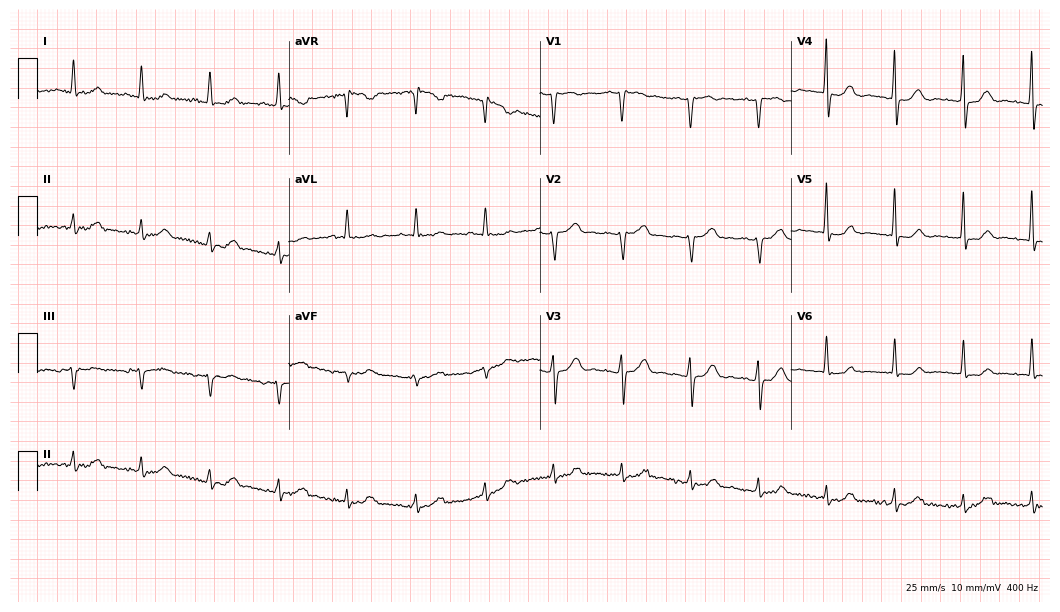
ECG (10.2-second recording at 400 Hz) — a 63-year-old female patient. Screened for six findings — first-degree AV block, right bundle branch block (RBBB), left bundle branch block (LBBB), sinus bradycardia, atrial fibrillation (AF), sinus tachycardia — none is recorded. Findings outside these six are not listed.